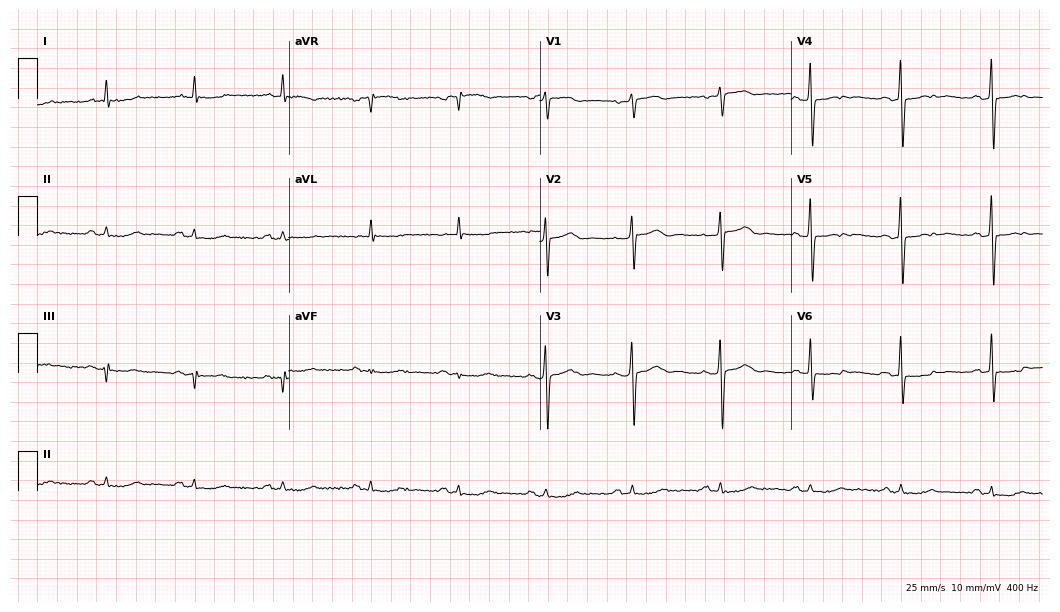
Standard 12-lead ECG recorded from a man, 78 years old. None of these six findings is recorded: first-degree AV block, right bundle branch block, left bundle branch block, sinus bradycardia, atrial fibrillation, sinus tachycardia. Only these six findings were labelled.